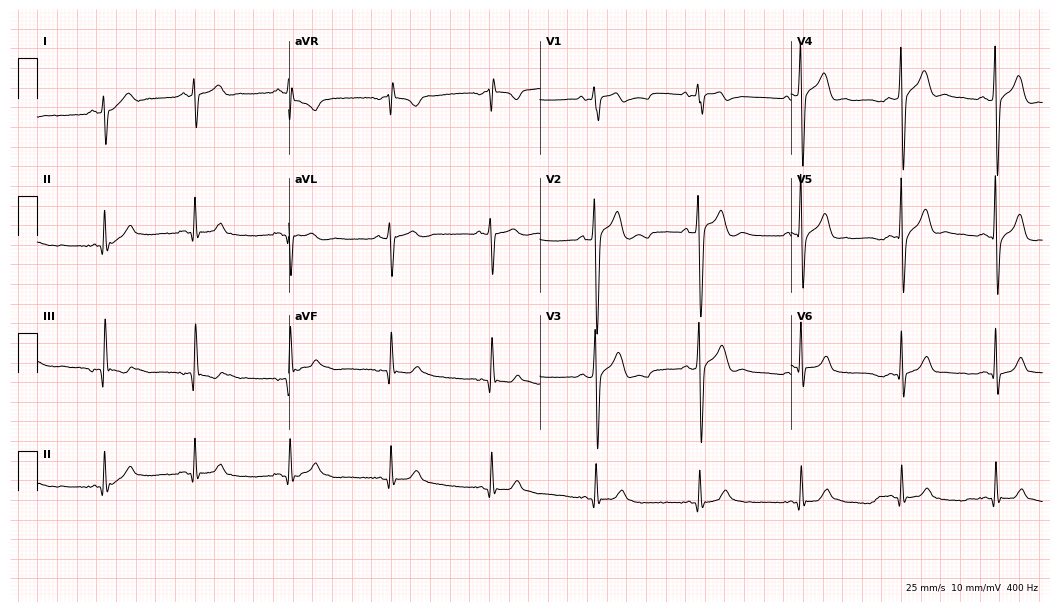
12-lead ECG from a male, 27 years old (10.2-second recording at 400 Hz). No first-degree AV block, right bundle branch block, left bundle branch block, sinus bradycardia, atrial fibrillation or sinus tachycardia recorded for this tracing. Findings outside these six are not listed.